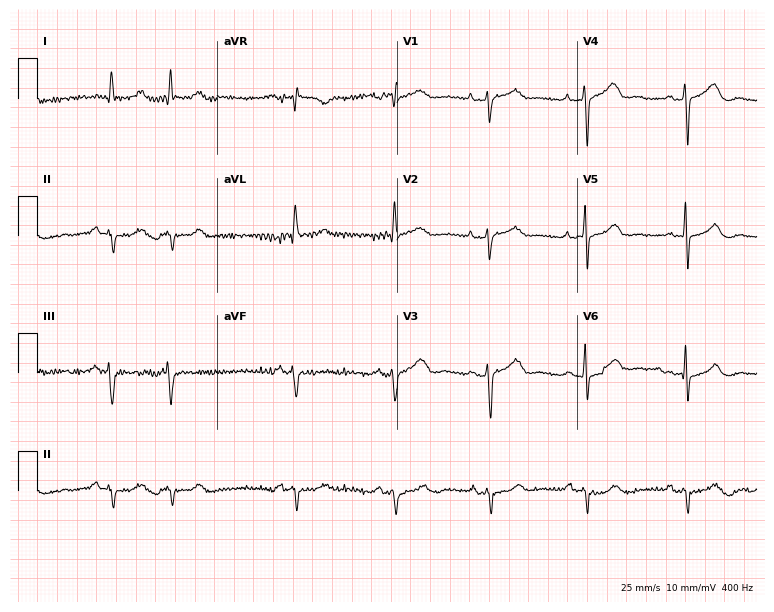
Resting 12-lead electrocardiogram (7.3-second recording at 400 Hz). Patient: a woman, 77 years old. None of these six findings is recorded: first-degree AV block, right bundle branch block (RBBB), left bundle branch block (LBBB), sinus bradycardia, atrial fibrillation (AF), sinus tachycardia.